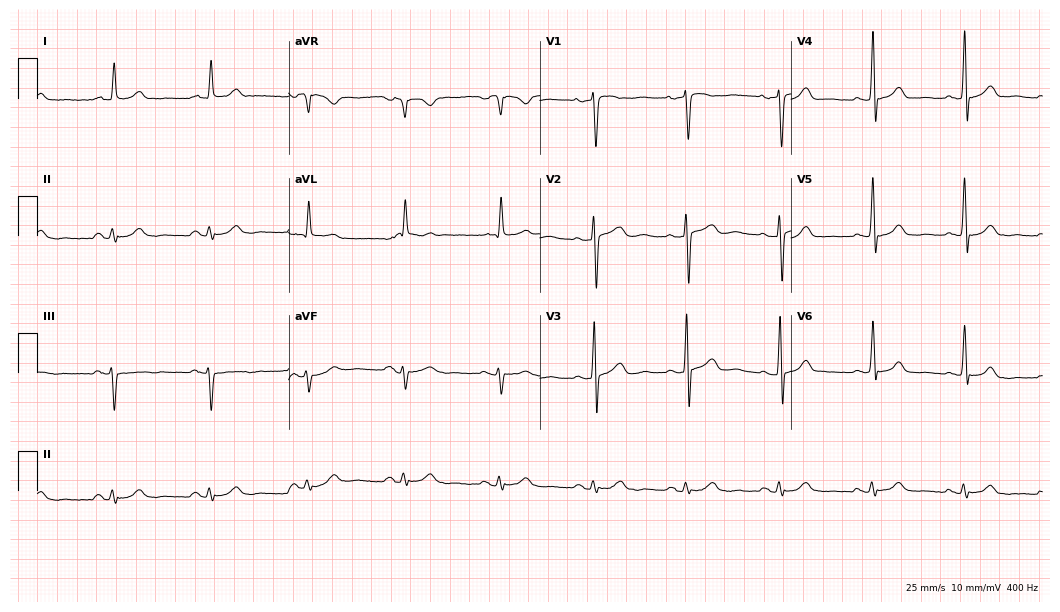
12-lead ECG (10.2-second recording at 400 Hz) from a man, 78 years old. Labelled as a normal ECG.